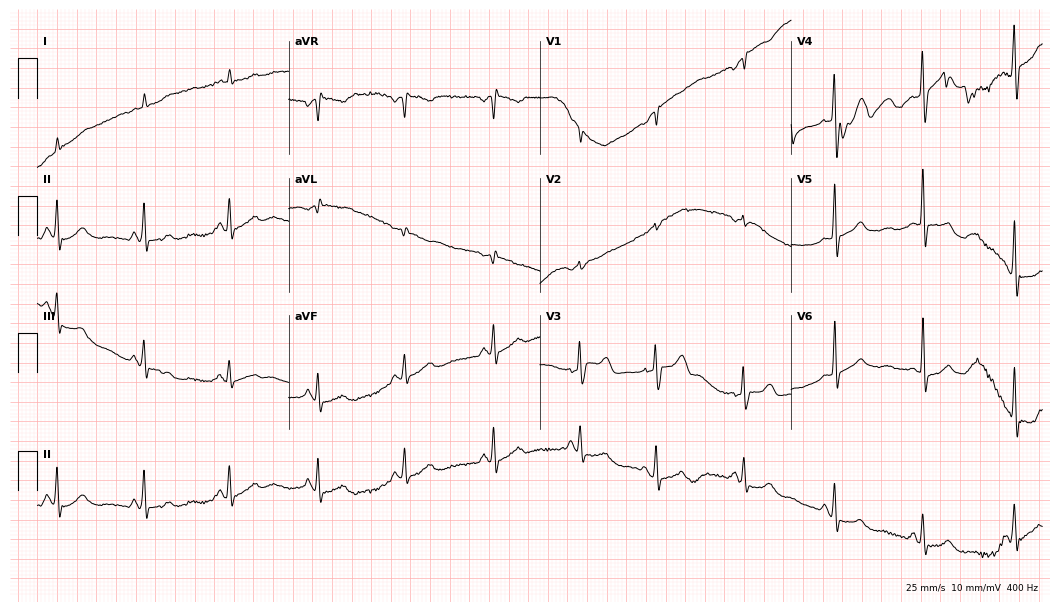
Electrocardiogram (10.2-second recording at 400 Hz), a male, 84 years old. Of the six screened findings (first-degree AV block, right bundle branch block, left bundle branch block, sinus bradycardia, atrial fibrillation, sinus tachycardia), none is recorded. Other findings, if any, are not listed.